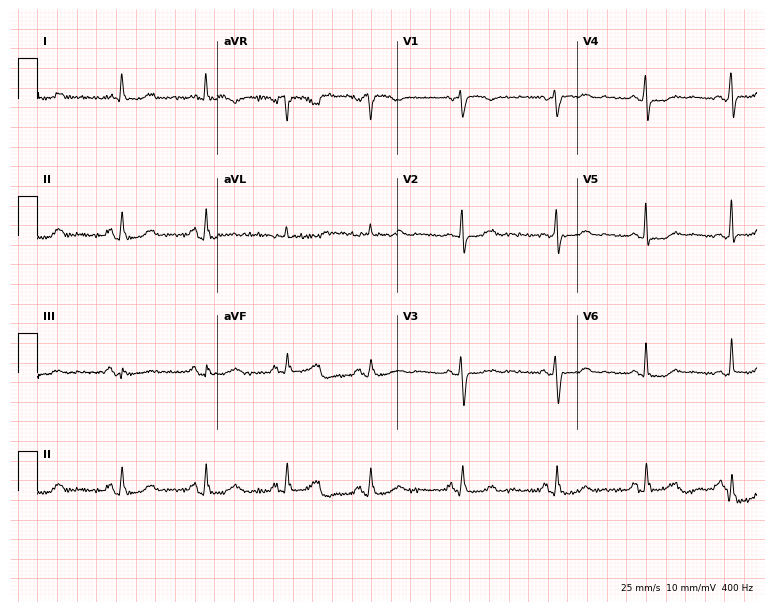
Standard 12-lead ECG recorded from a female, 51 years old (7.3-second recording at 400 Hz). None of these six findings is recorded: first-degree AV block, right bundle branch block, left bundle branch block, sinus bradycardia, atrial fibrillation, sinus tachycardia. Other findings, if any, are not listed.